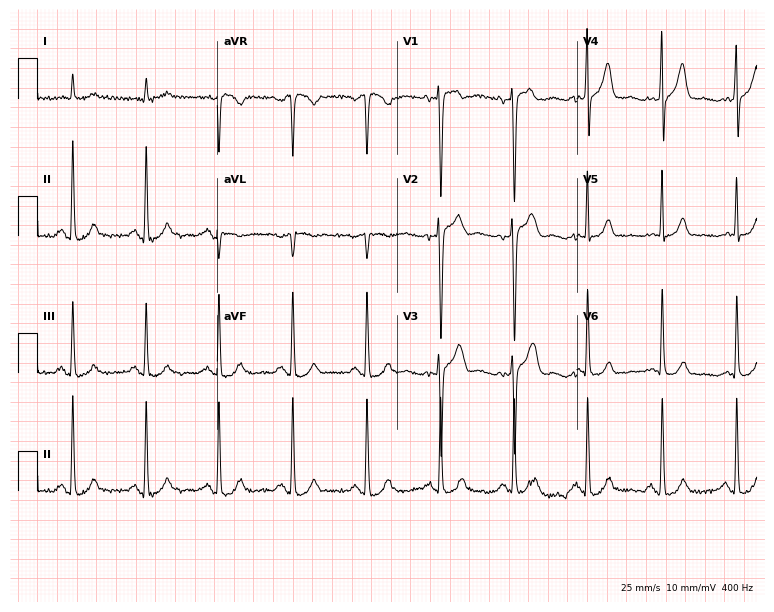
ECG (7.3-second recording at 400 Hz) — a 66-year-old male. Labelled as a normal ECG.